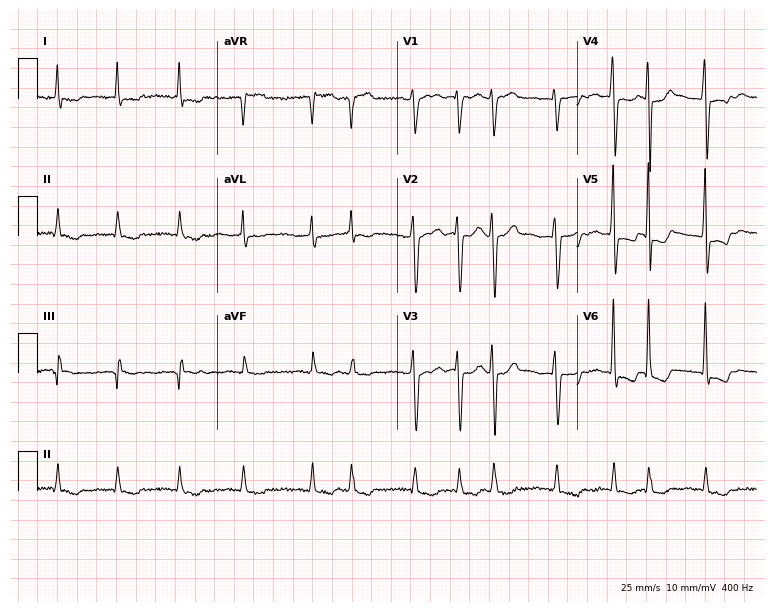
12-lead ECG from a male patient, 71 years old (7.3-second recording at 400 Hz). Shows atrial fibrillation.